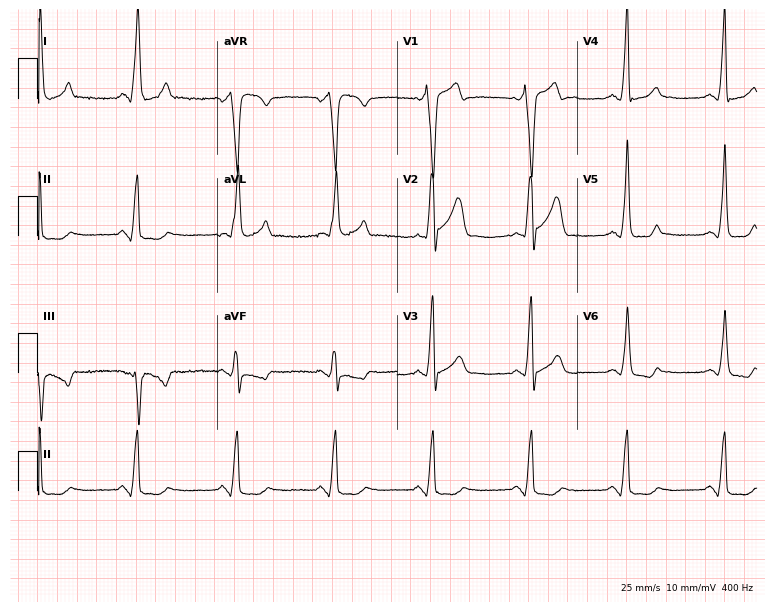
12-lead ECG from a man, 41 years old (7.3-second recording at 400 Hz). No first-degree AV block, right bundle branch block (RBBB), left bundle branch block (LBBB), sinus bradycardia, atrial fibrillation (AF) or sinus tachycardia recorded for this tracing. Other findings, if any, are not listed.